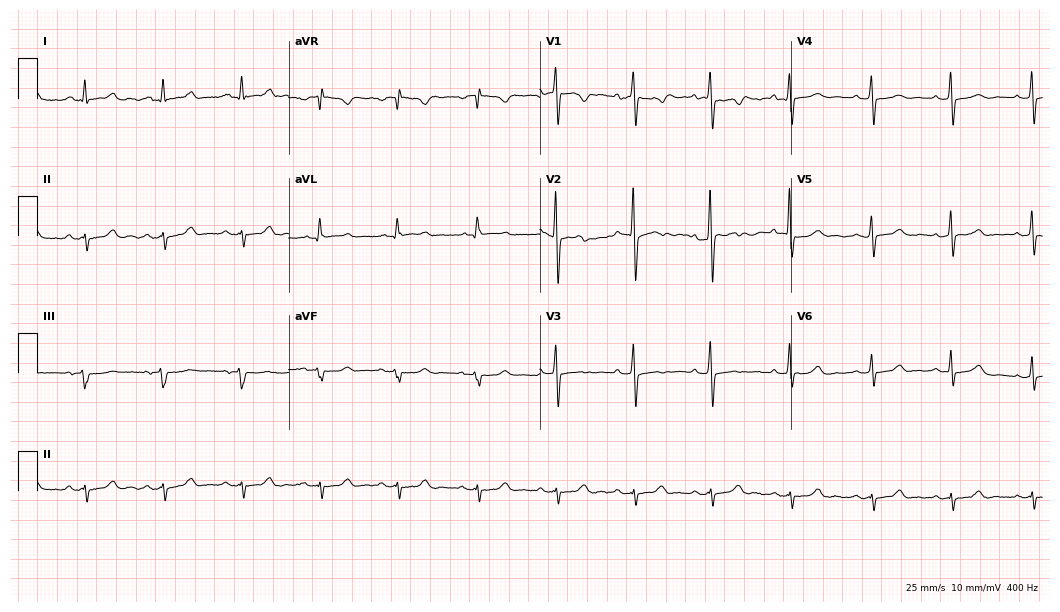
Resting 12-lead electrocardiogram. Patient: a woman, 62 years old. None of these six findings is recorded: first-degree AV block, right bundle branch block, left bundle branch block, sinus bradycardia, atrial fibrillation, sinus tachycardia.